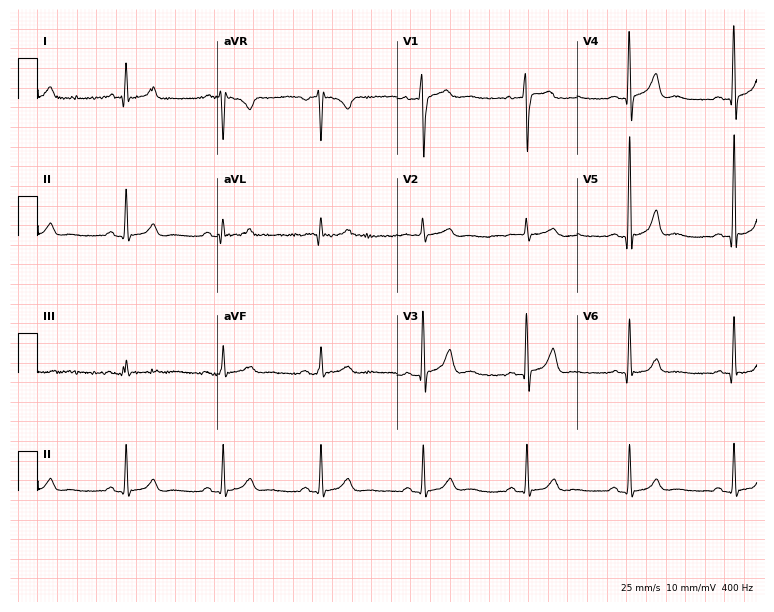
Resting 12-lead electrocardiogram. Patient: a male, 63 years old. Read as a normal ECG.